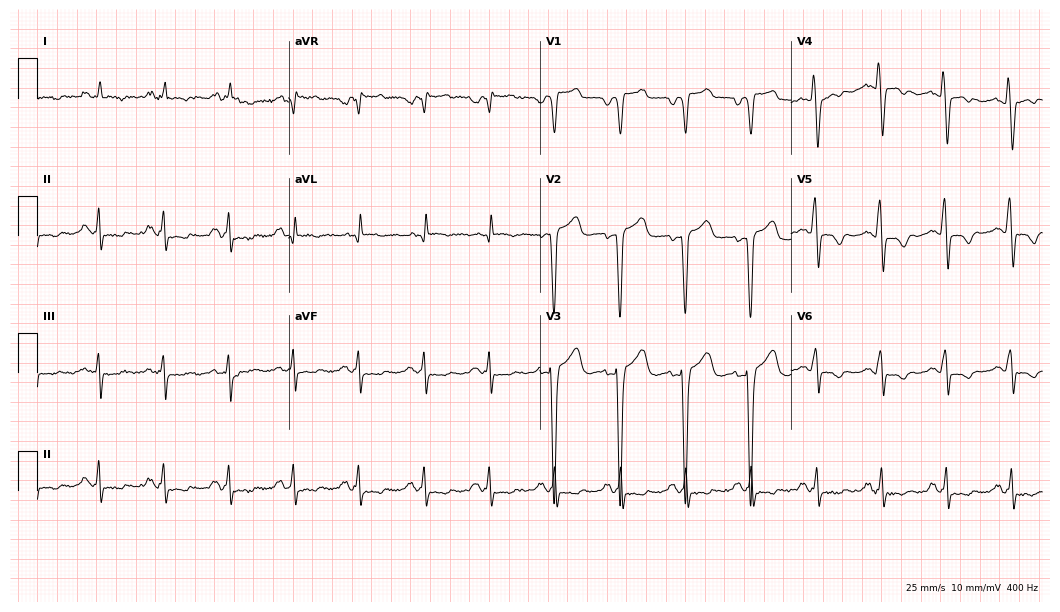
Electrocardiogram (10.2-second recording at 400 Hz), a 55-year-old male patient. Of the six screened findings (first-degree AV block, right bundle branch block (RBBB), left bundle branch block (LBBB), sinus bradycardia, atrial fibrillation (AF), sinus tachycardia), none is recorded. Findings outside these six are not listed.